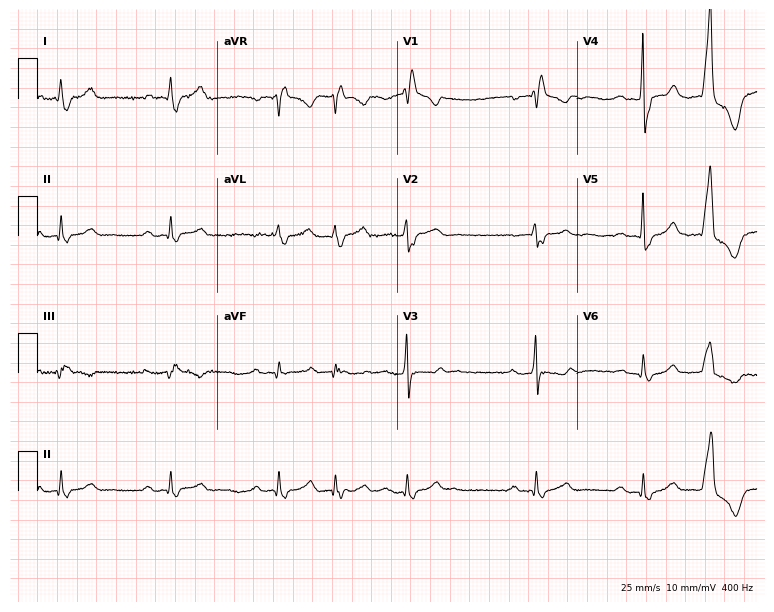
Resting 12-lead electrocardiogram. Patient: a male, 75 years old. The tracing shows first-degree AV block, right bundle branch block (RBBB).